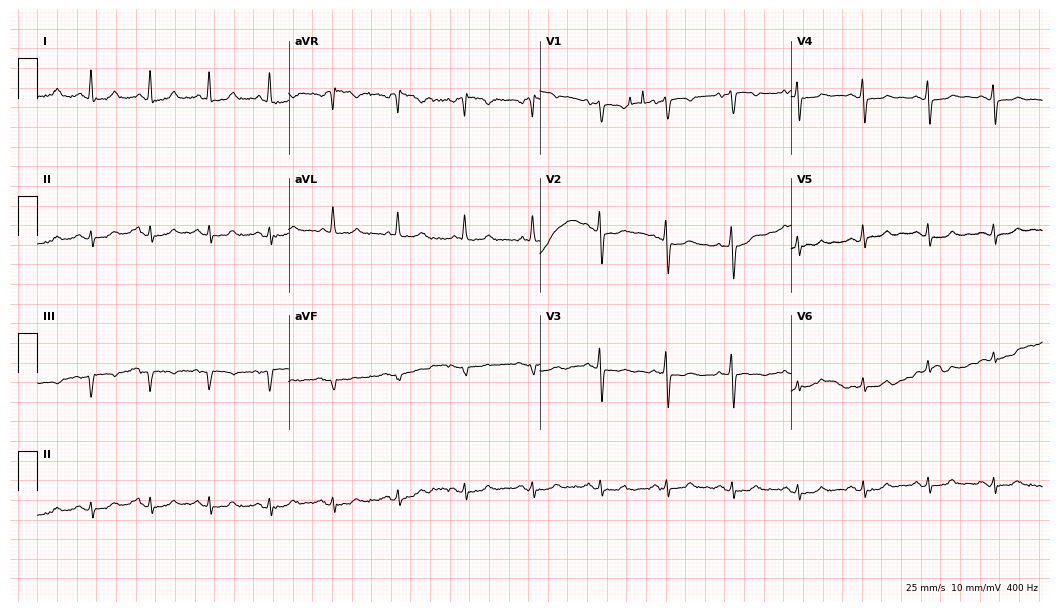
12-lead ECG from a 65-year-old woman (10.2-second recording at 400 Hz). Recorded interpretation: within normal limits.